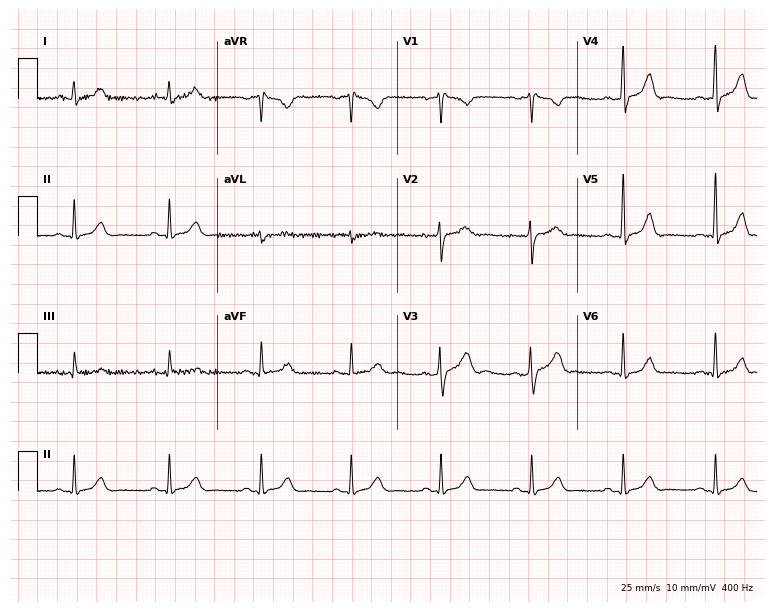
Resting 12-lead electrocardiogram. Patient: a 43-year-old male. None of these six findings is recorded: first-degree AV block, right bundle branch block, left bundle branch block, sinus bradycardia, atrial fibrillation, sinus tachycardia.